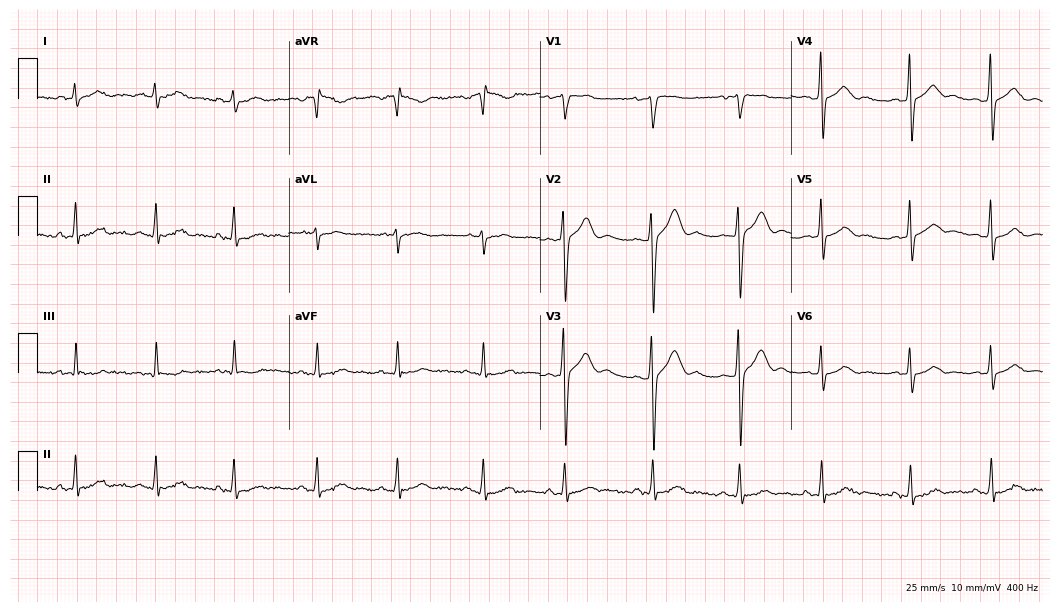
Resting 12-lead electrocardiogram (10.2-second recording at 400 Hz). Patient: a male, 31 years old. None of these six findings is recorded: first-degree AV block, right bundle branch block, left bundle branch block, sinus bradycardia, atrial fibrillation, sinus tachycardia. Other findings, if any, are not listed.